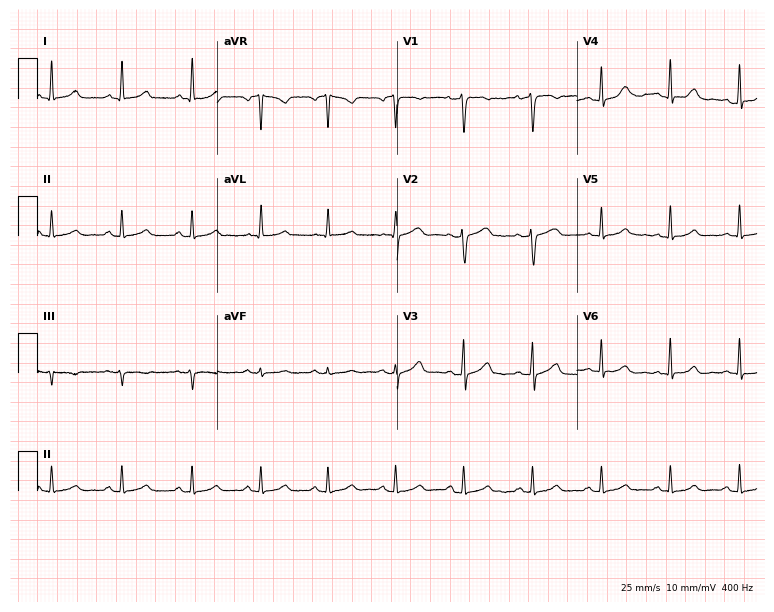
Standard 12-lead ECG recorded from a 37-year-old woman. Read as a normal ECG.